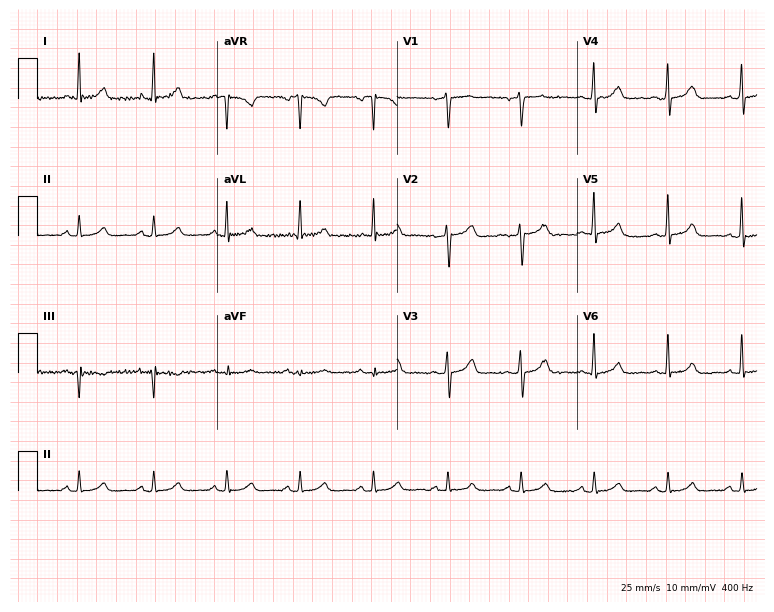
12-lead ECG from a 61-year-old man. Labelled as a normal ECG.